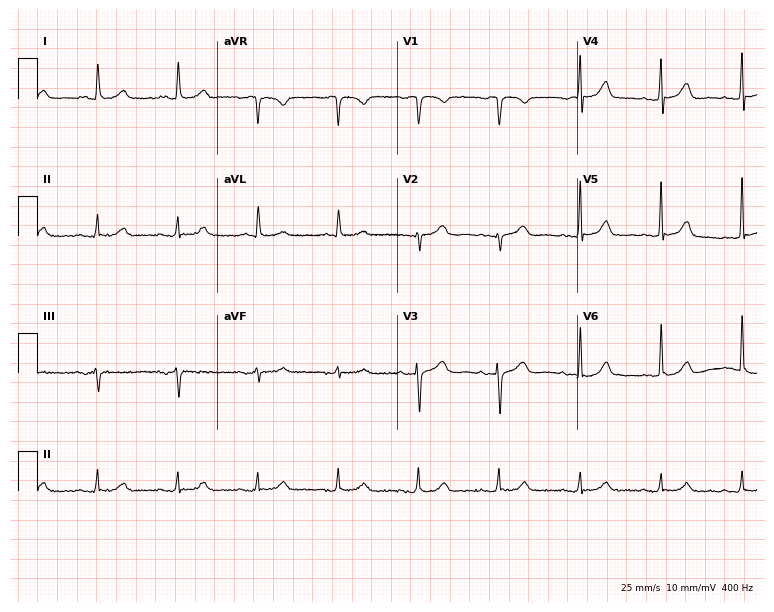
12-lead ECG from a woman, 81 years old (7.3-second recording at 400 Hz). Recorded interpretation: within normal limits.